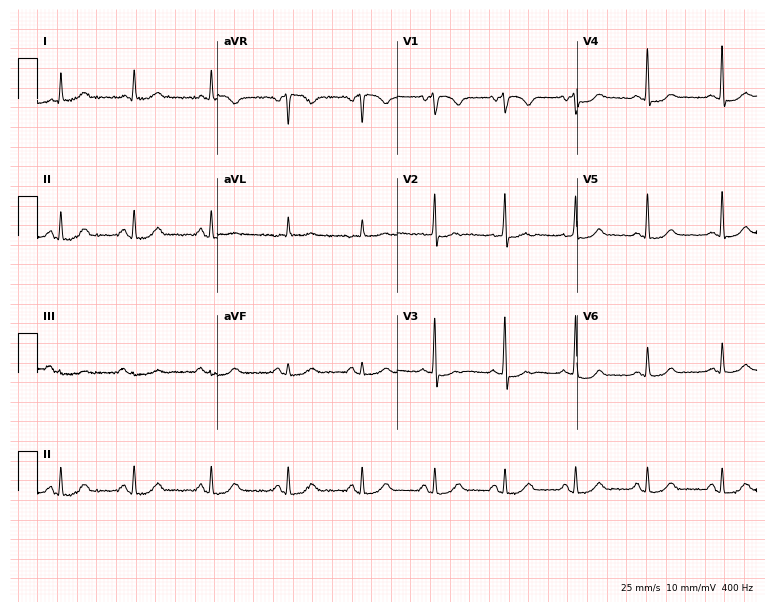
12-lead ECG (7.3-second recording at 400 Hz) from a 64-year-old male. Labelled as a normal ECG.